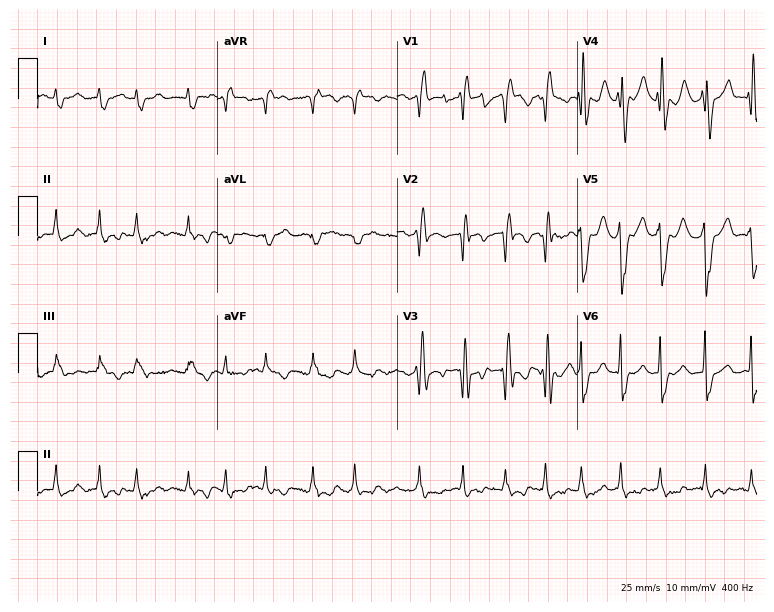
Electrocardiogram (7.3-second recording at 400 Hz), a man, 61 years old. Of the six screened findings (first-degree AV block, right bundle branch block, left bundle branch block, sinus bradycardia, atrial fibrillation, sinus tachycardia), none is recorded.